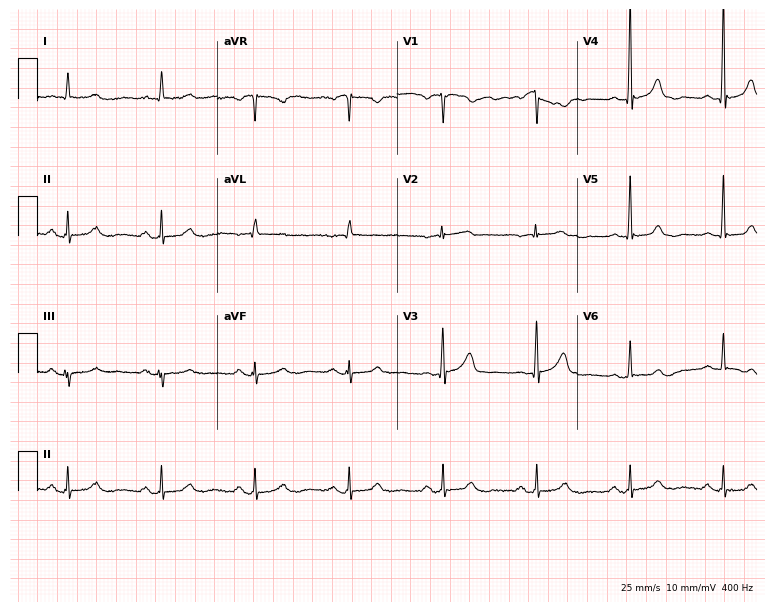
12-lead ECG from a man, 75 years old (7.3-second recording at 400 Hz). No first-degree AV block, right bundle branch block, left bundle branch block, sinus bradycardia, atrial fibrillation or sinus tachycardia recorded for this tracing.